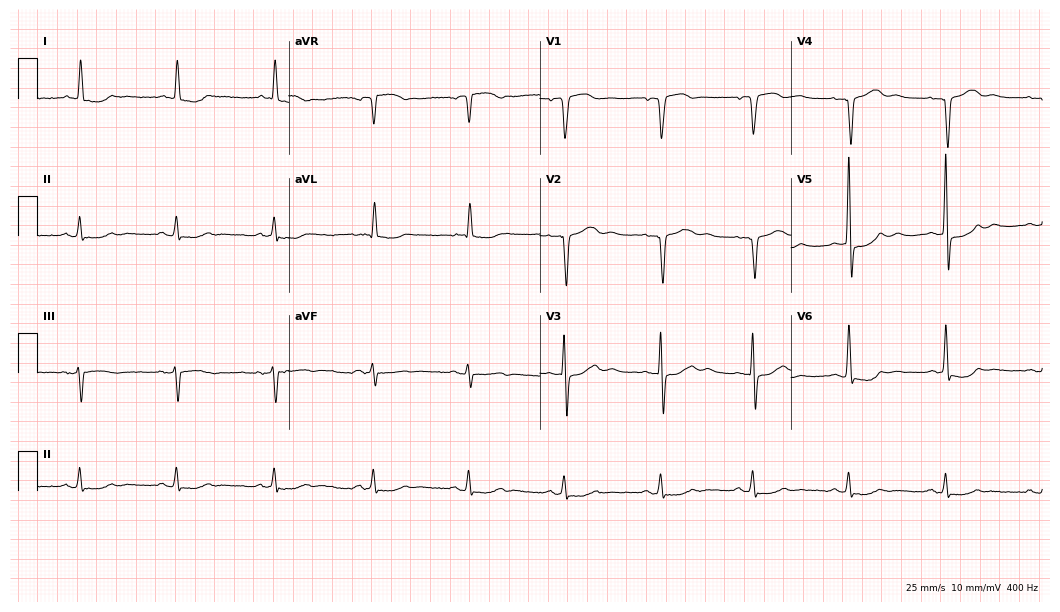
Electrocardiogram, a woman, 76 years old. Of the six screened findings (first-degree AV block, right bundle branch block (RBBB), left bundle branch block (LBBB), sinus bradycardia, atrial fibrillation (AF), sinus tachycardia), none is recorded. Findings outside these six are not listed.